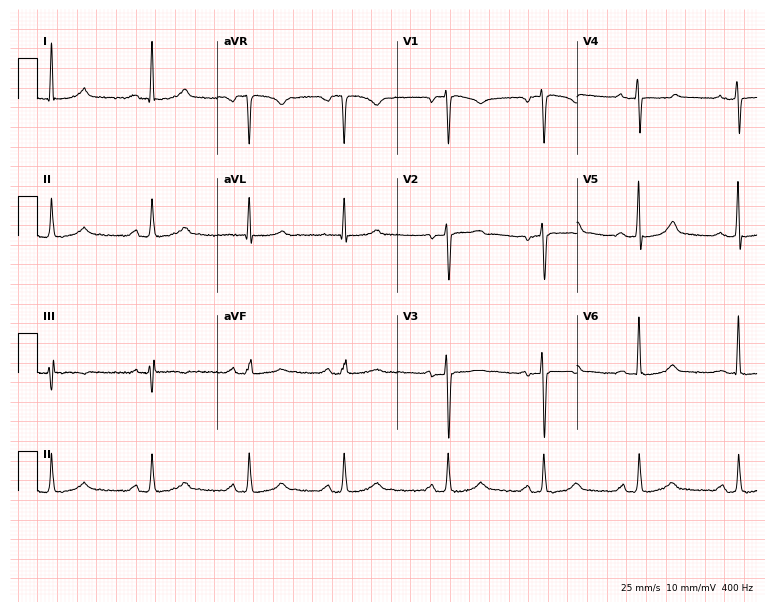
Electrocardiogram, a 45-year-old female. Of the six screened findings (first-degree AV block, right bundle branch block, left bundle branch block, sinus bradycardia, atrial fibrillation, sinus tachycardia), none is recorded.